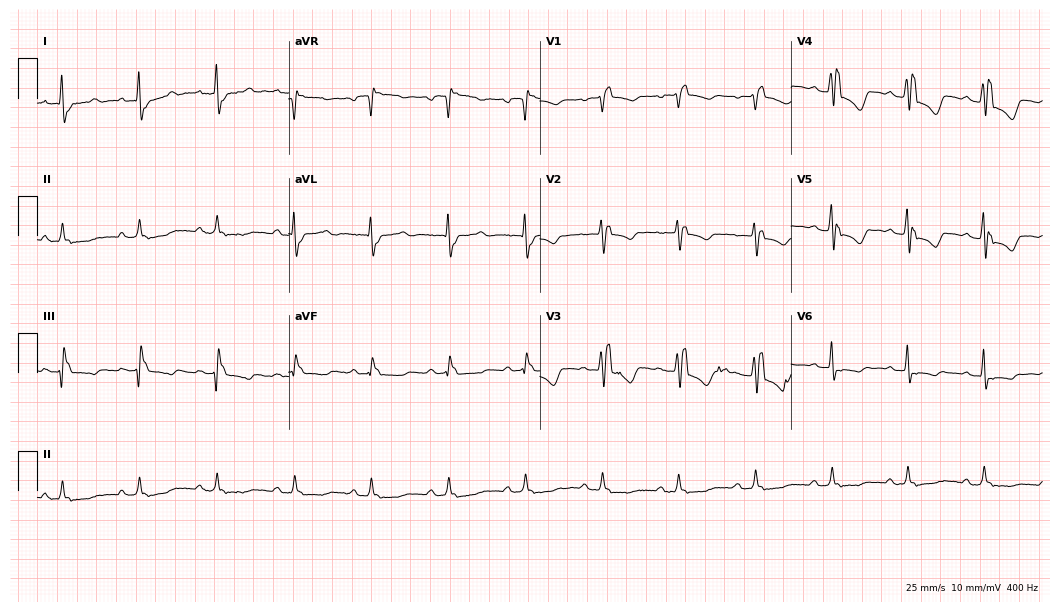
Electrocardiogram, a 66-year-old female patient. Interpretation includes right bundle branch block (RBBB).